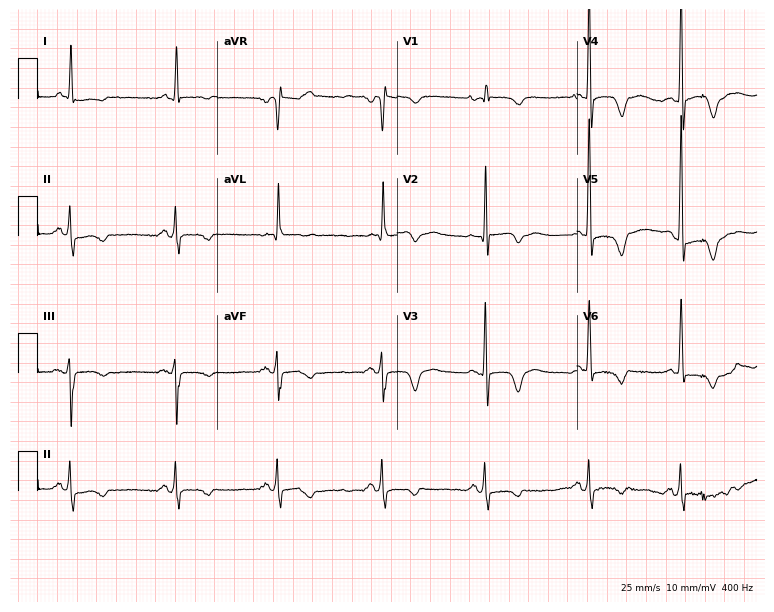
Resting 12-lead electrocardiogram (7.3-second recording at 400 Hz). Patient: an 80-year-old woman. None of these six findings is recorded: first-degree AV block, right bundle branch block, left bundle branch block, sinus bradycardia, atrial fibrillation, sinus tachycardia. Other findings, if any, are not listed.